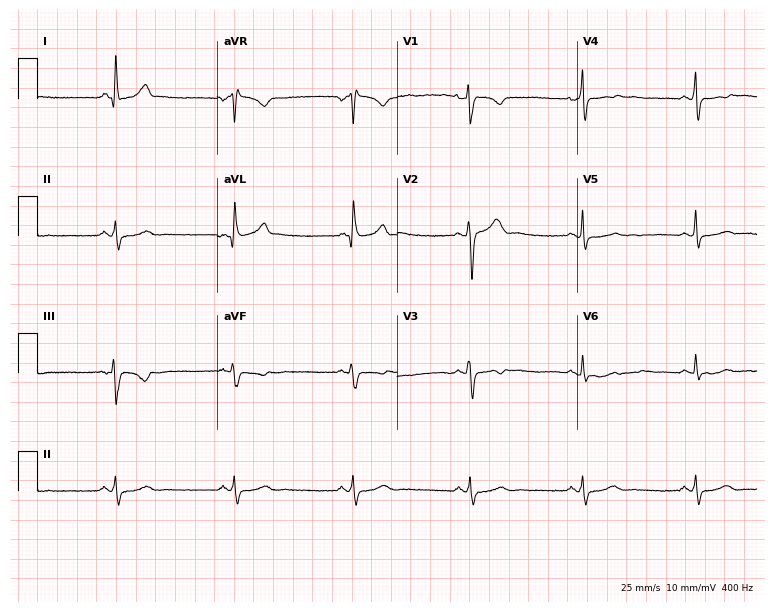
Standard 12-lead ECG recorded from a 34-year-old male. None of these six findings is recorded: first-degree AV block, right bundle branch block, left bundle branch block, sinus bradycardia, atrial fibrillation, sinus tachycardia.